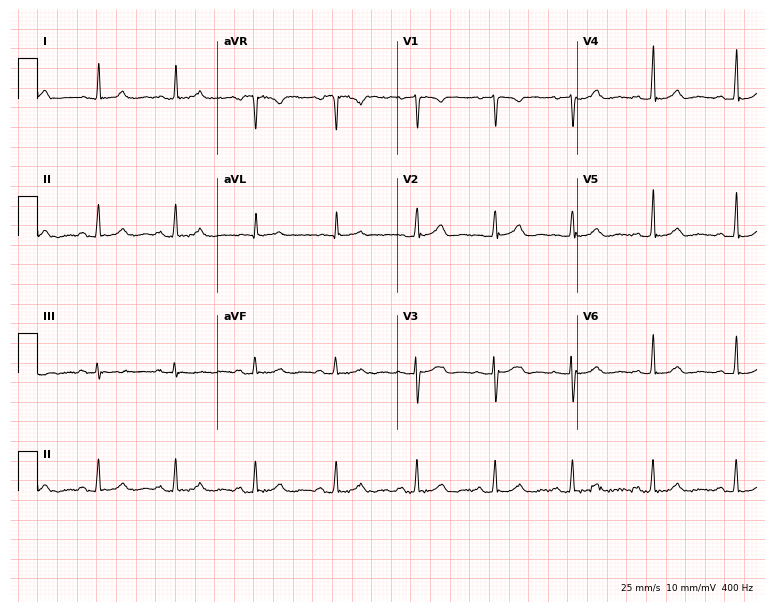
Standard 12-lead ECG recorded from a 39-year-old female. Read as a normal ECG.